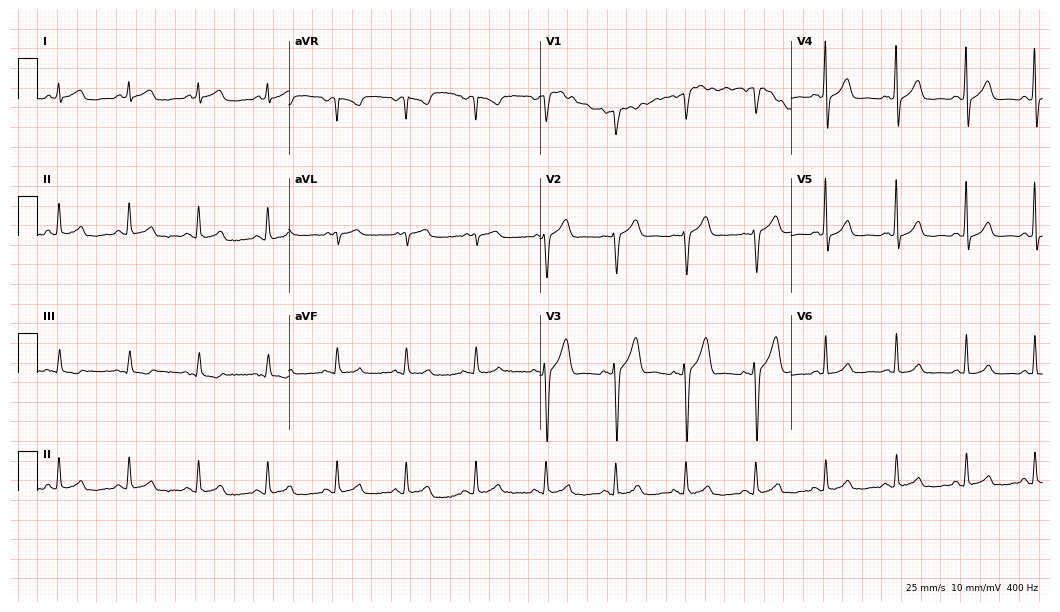
12-lead ECG from a male patient, 56 years old (10.2-second recording at 400 Hz). Recorded interpretation: within normal limits.